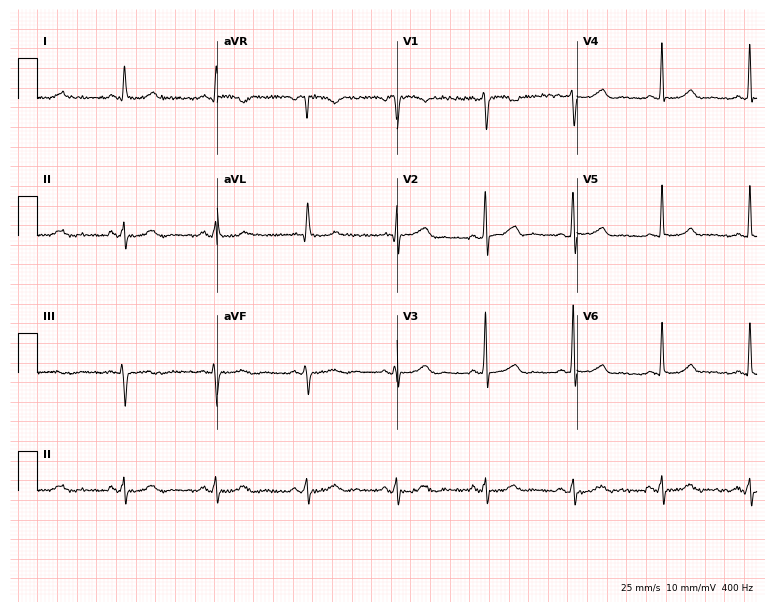
ECG (7.3-second recording at 400 Hz) — a 48-year-old female. Labelled as a normal ECG.